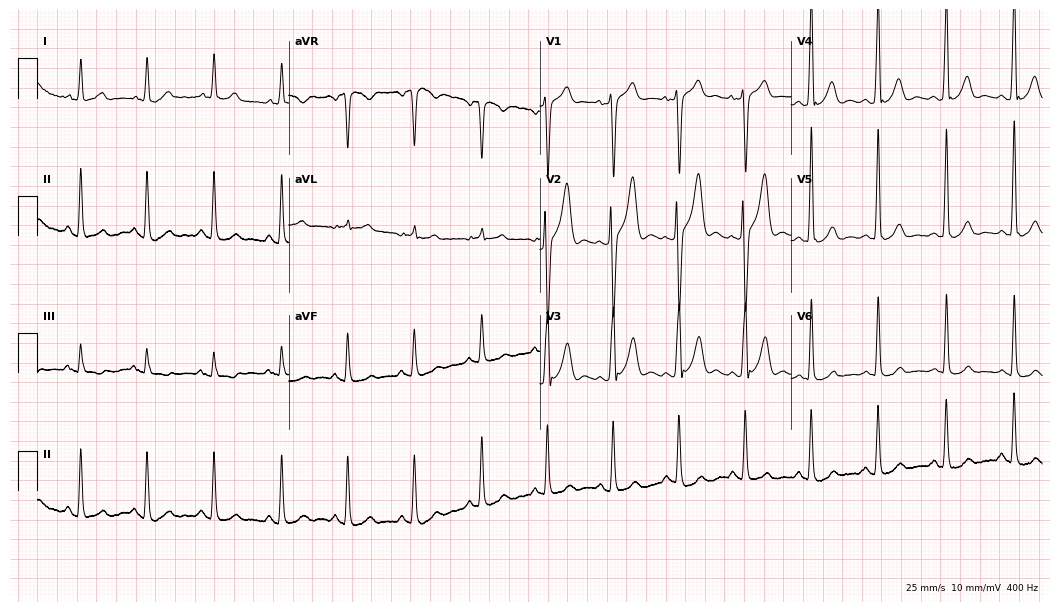
ECG (10.2-second recording at 400 Hz) — a male, 43 years old. Labelled as a normal ECG.